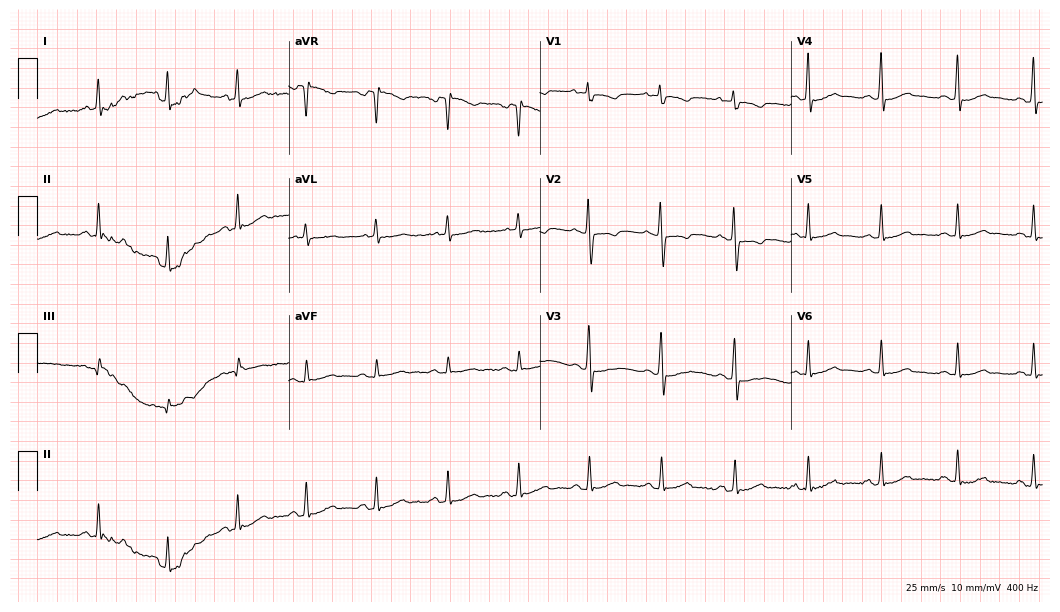
12-lead ECG (10.2-second recording at 400 Hz) from a 60-year-old woman. Screened for six findings — first-degree AV block, right bundle branch block, left bundle branch block, sinus bradycardia, atrial fibrillation, sinus tachycardia — none is recorded.